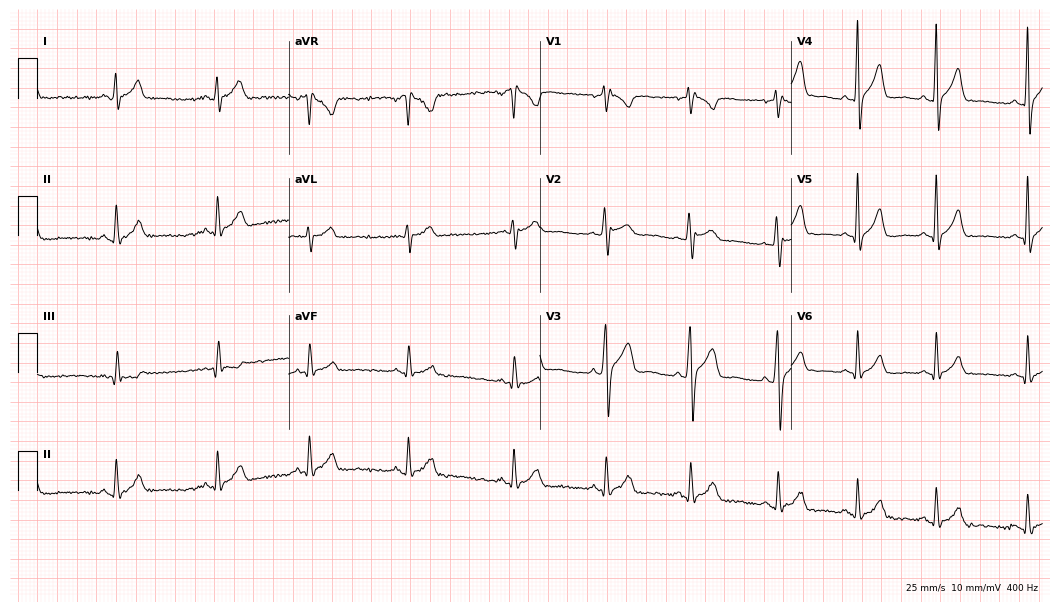
12-lead ECG from a male patient, 20 years old (10.2-second recording at 400 Hz). No first-degree AV block, right bundle branch block, left bundle branch block, sinus bradycardia, atrial fibrillation or sinus tachycardia recorded for this tracing. Other findings, if any, are not listed.